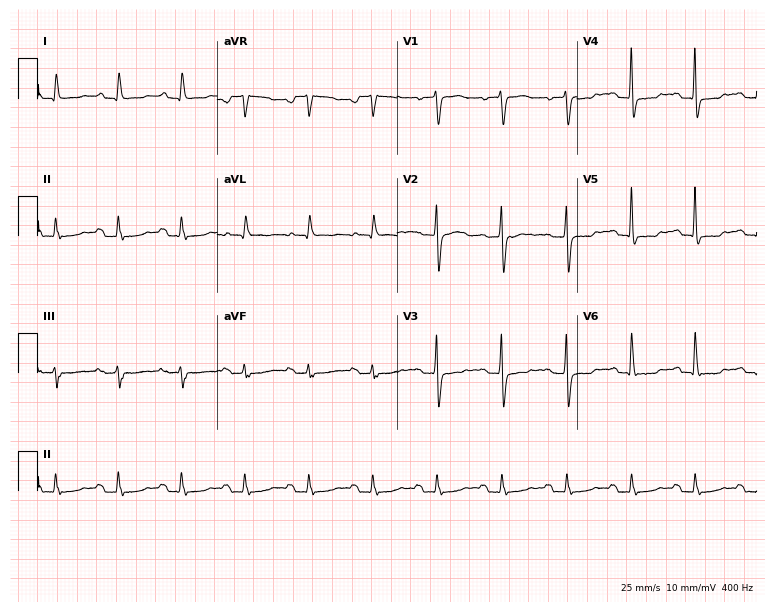
Resting 12-lead electrocardiogram. Patient: a man, 69 years old. None of these six findings is recorded: first-degree AV block, right bundle branch block, left bundle branch block, sinus bradycardia, atrial fibrillation, sinus tachycardia.